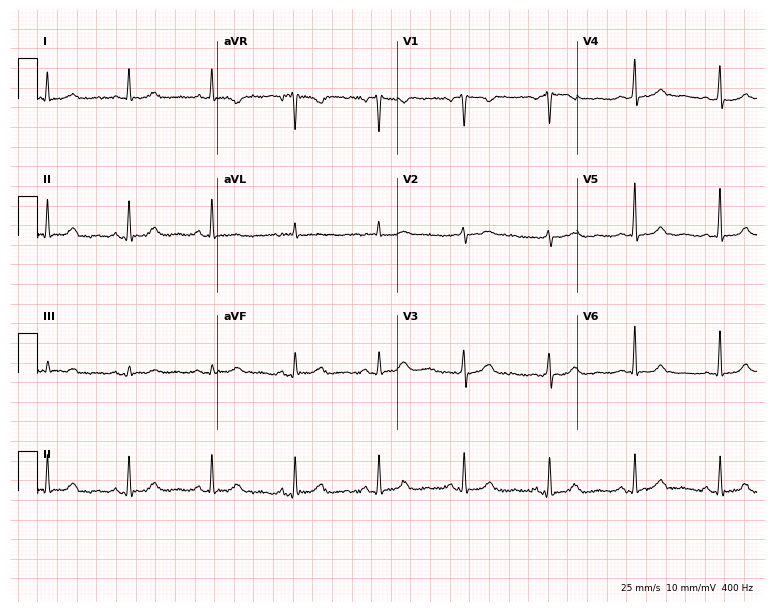
Electrocardiogram, a 57-year-old woman. Overall reading on record: normal ECG.